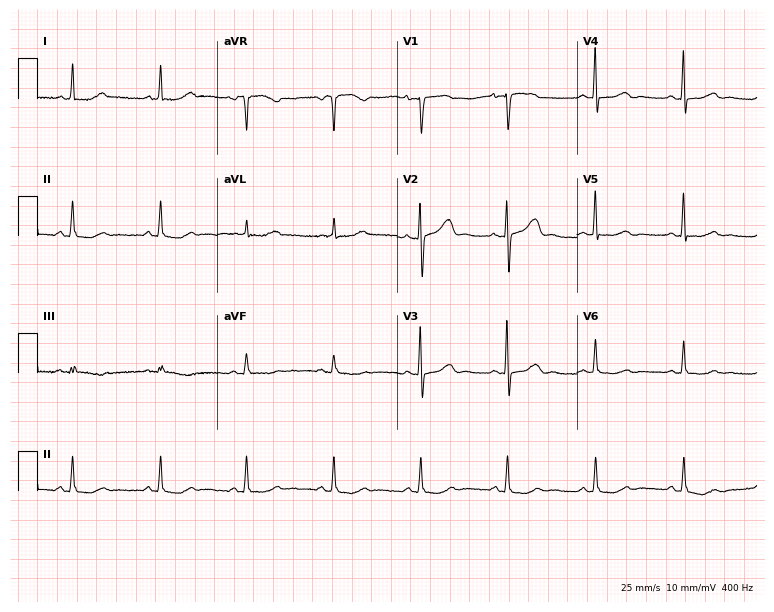
ECG — a female patient, 45 years old. Screened for six findings — first-degree AV block, right bundle branch block, left bundle branch block, sinus bradycardia, atrial fibrillation, sinus tachycardia — none is recorded.